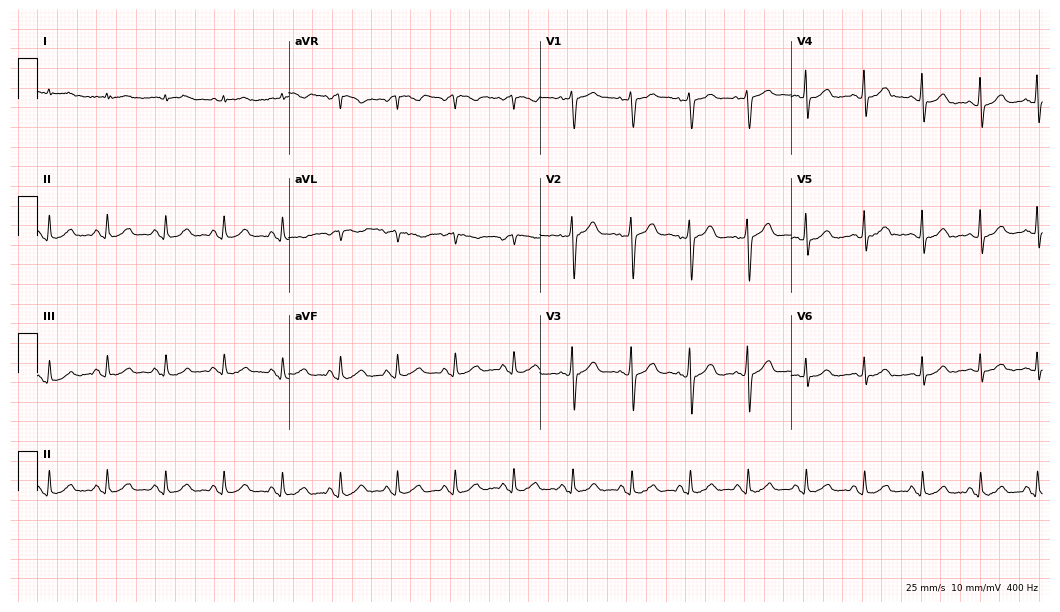
12-lead ECG (10.2-second recording at 400 Hz) from a male patient, 47 years old. Labelled as a normal ECG.